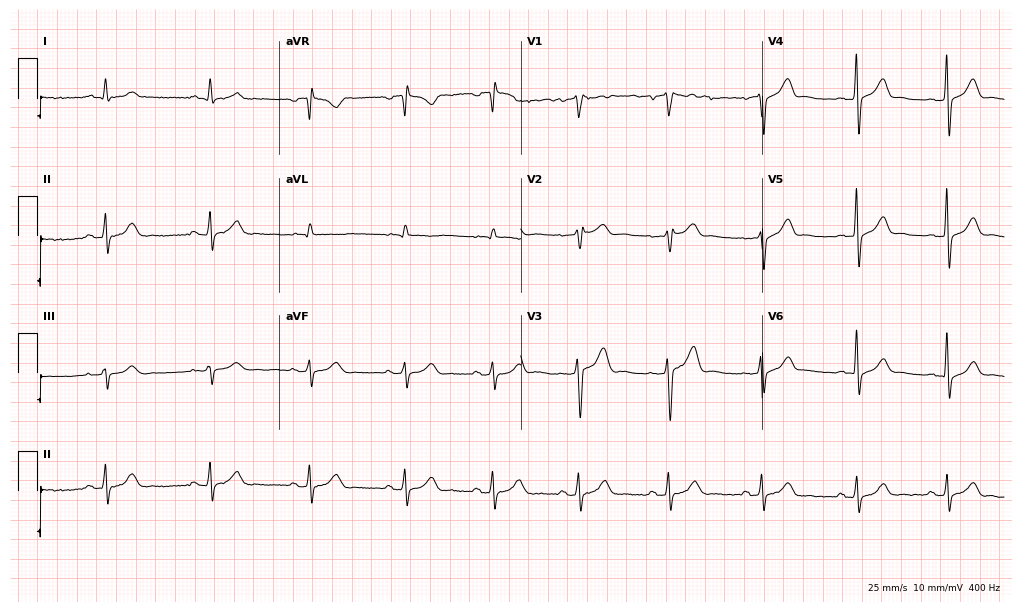
Resting 12-lead electrocardiogram (9.9-second recording at 400 Hz). Patient: a male, 50 years old. Read as a normal ECG.